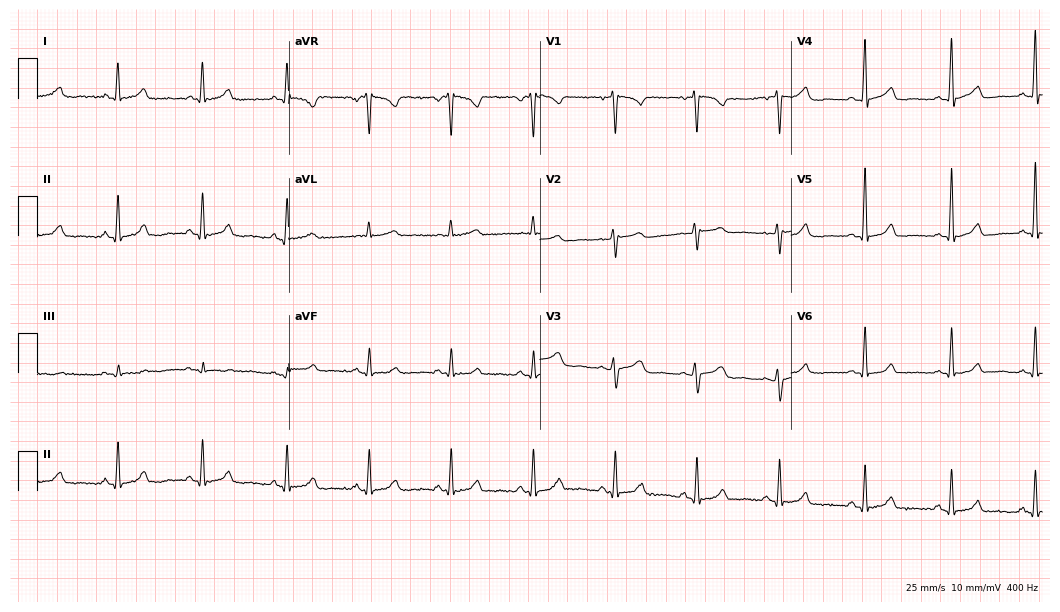
12-lead ECG from a female patient, 35 years old (10.2-second recording at 400 Hz). Recorded interpretation: within normal limits.